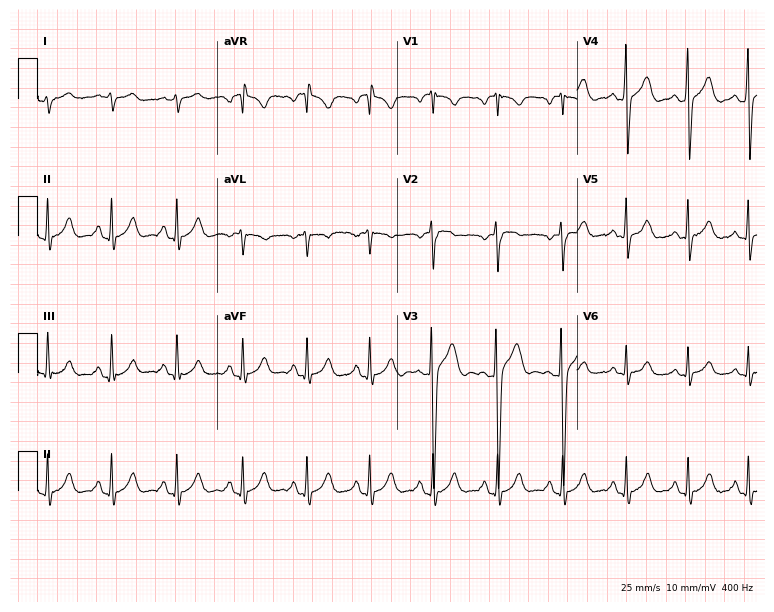
Electrocardiogram (7.3-second recording at 400 Hz), a male, 22 years old. Of the six screened findings (first-degree AV block, right bundle branch block, left bundle branch block, sinus bradycardia, atrial fibrillation, sinus tachycardia), none is recorded.